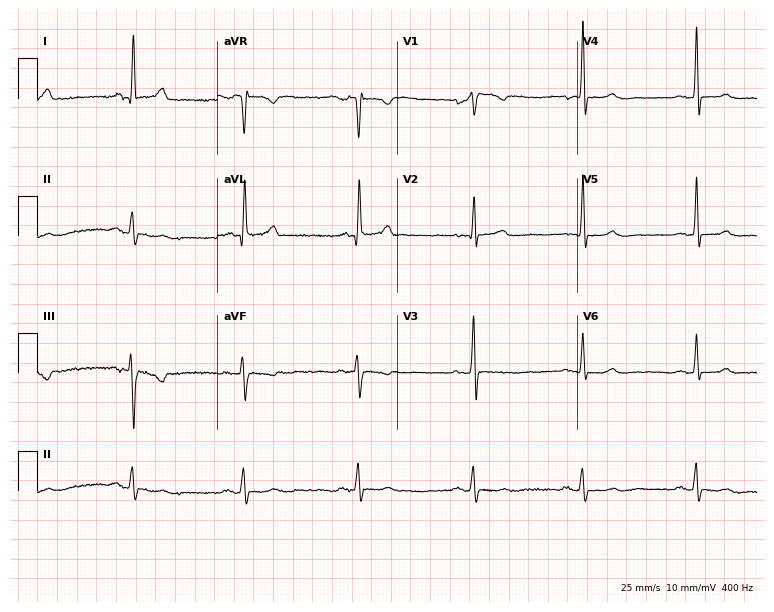
12-lead ECG from a 77-year-old female patient (7.3-second recording at 400 Hz). No first-degree AV block, right bundle branch block (RBBB), left bundle branch block (LBBB), sinus bradycardia, atrial fibrillation (AF) or sinus tachycardia recorded for this tracing.